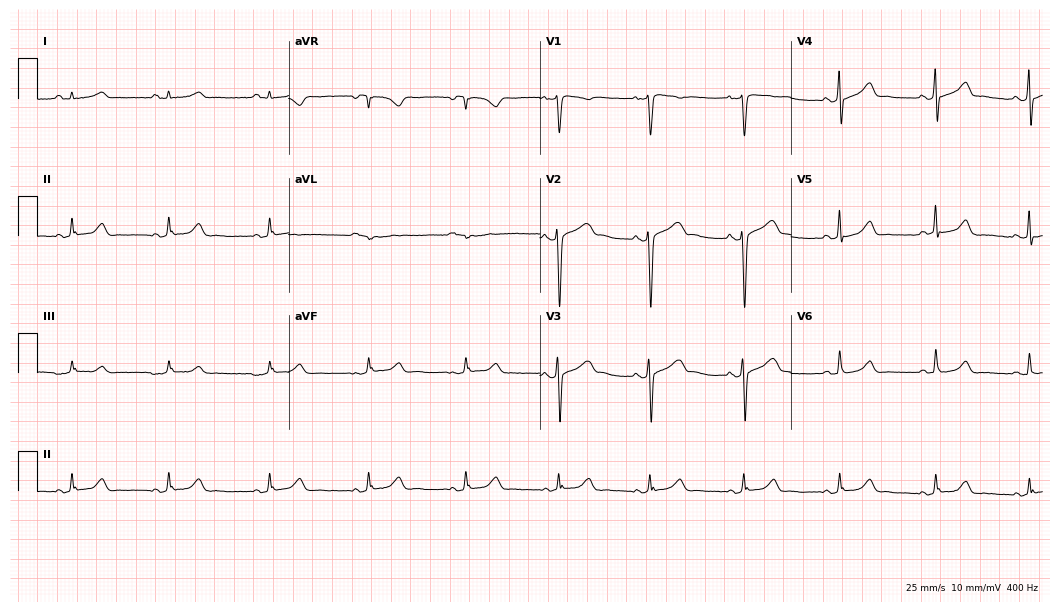
Resting 12-lead electrocardiogram (10.2-second recording at 400 Hz). Patient: a male, 52 years old. Read as a normal ECG.